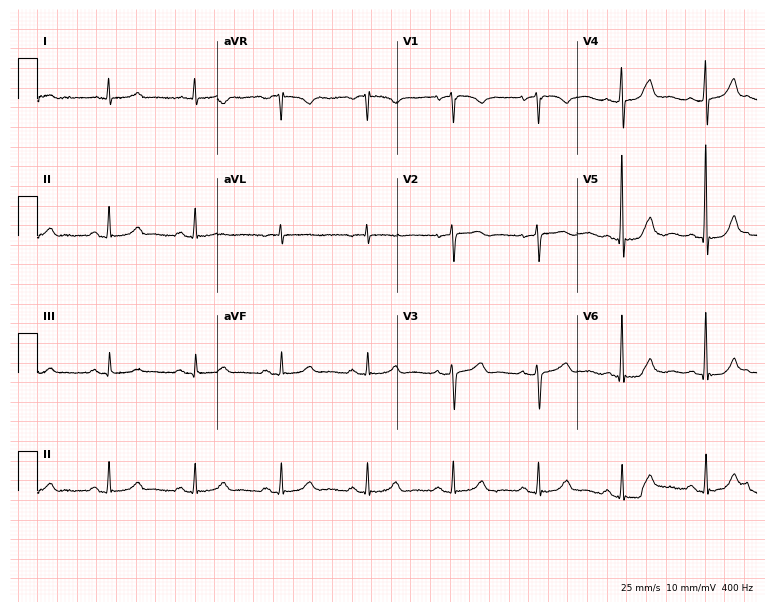
12-lead ECG from a female, 83 years old. Labelled as a normal ECG.